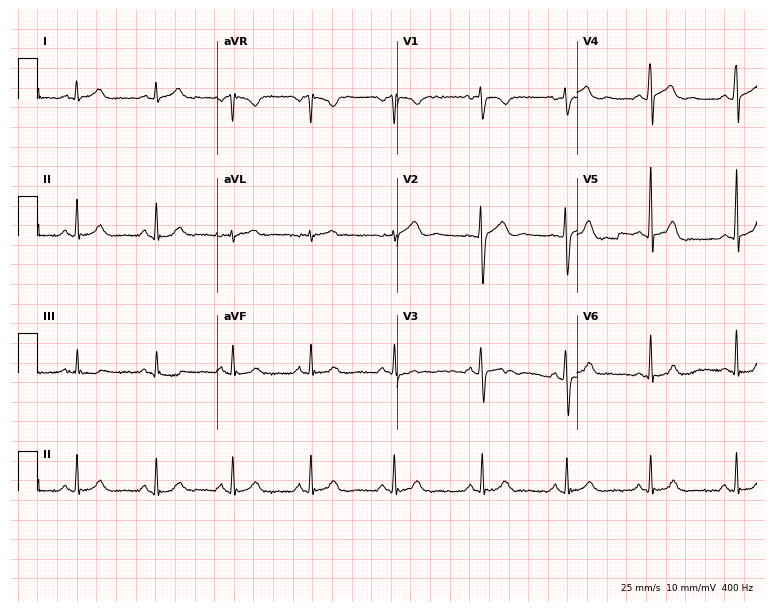
12-lead ECG from a male patient, 23 years old (7.3-second recording at 400 Hz). No first-degree AV block, right bundle branch block, left bundle branch block, sinus bradycardia, atrial fibrillation or sinus tachycardia recorded for this tracing.